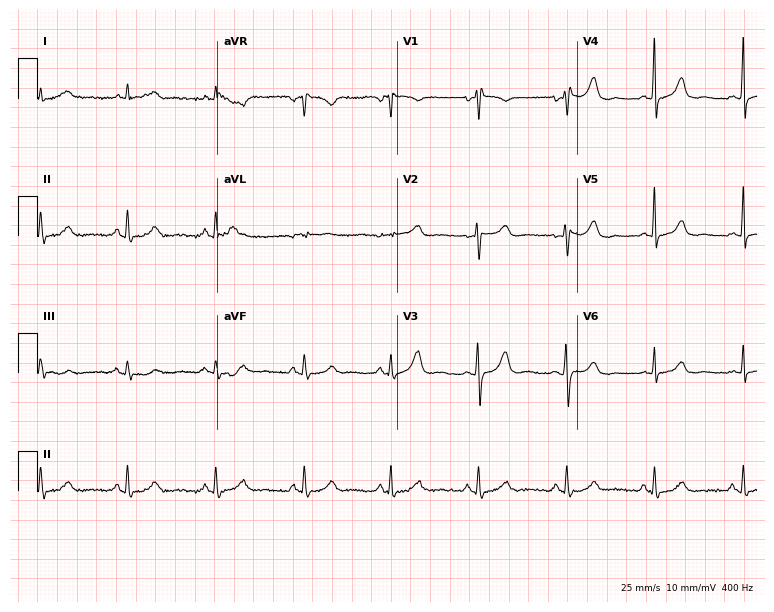
12-lead ECG (7.3-second recording at 400 Hz) from a female patient, 54 years old. Screened for six findings — first-degree AV block, right bundle branch block, left bundle branch block, sinus bradycardia, atrial fibrillation, sinus tachycardia — none is recorded.